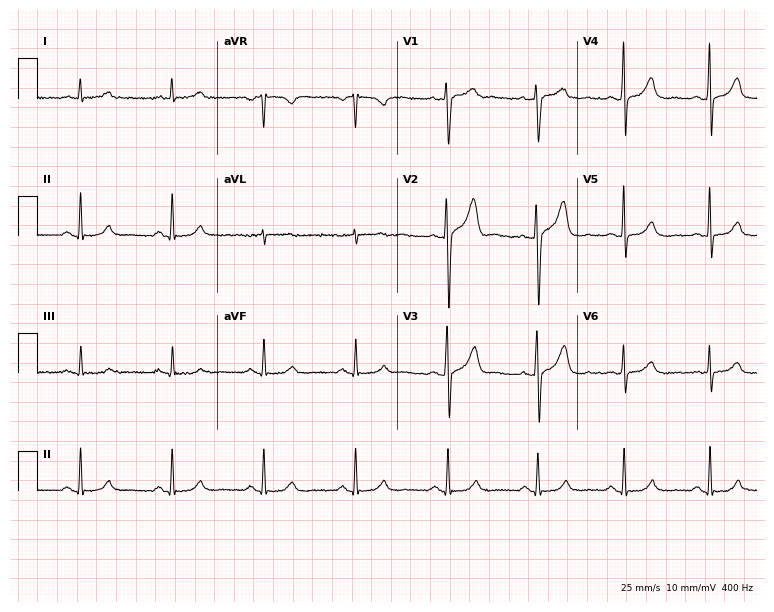
Standard 12-lead ECG recorded from a man, 52 years old. Read as a normal ECG.